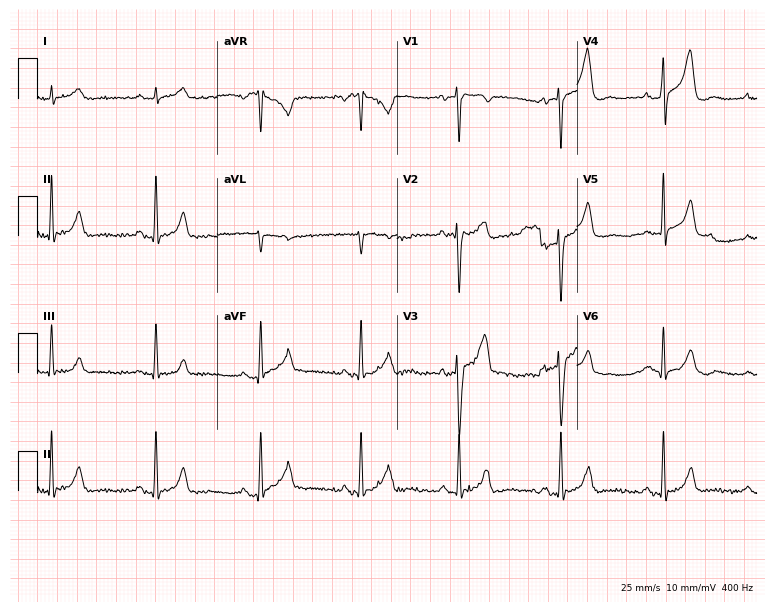
Electrocardiogram, a 34-year-old male. Overall reading on record: normal ECG.